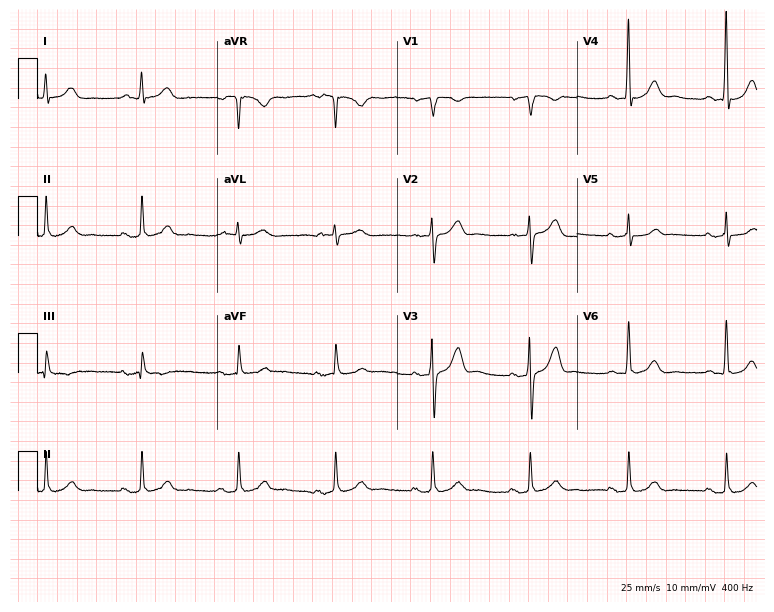
12-lead ECG from a 66-year-old male (7.3-second recording at 400 Hz). Recorded interpretation: within normal limits.